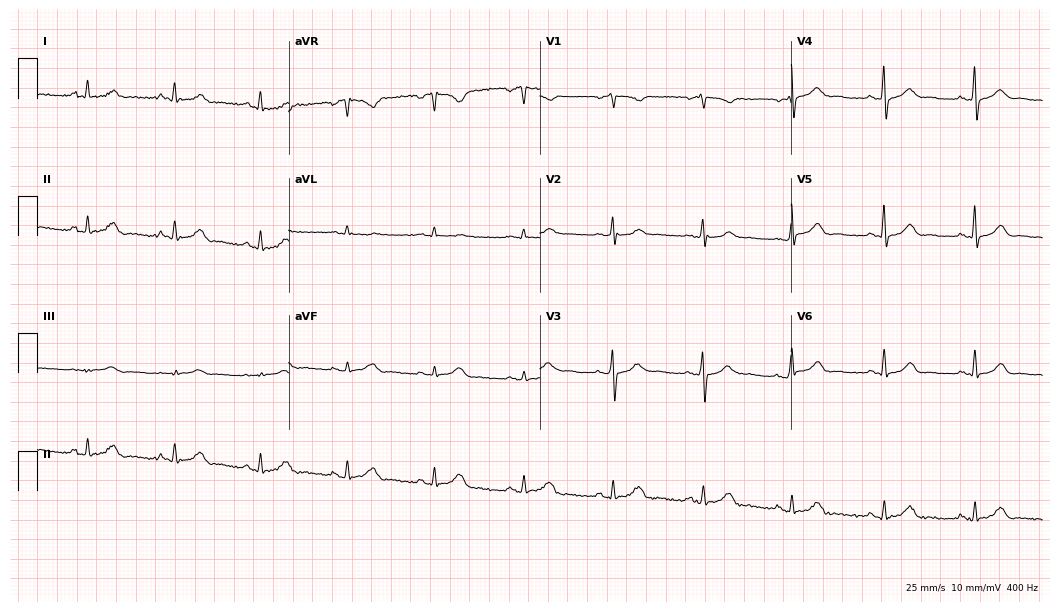
Electrocardiogram (10.2-second recording at 400 Hz), a 60-year-old female patient. Overall reading on record: normal ECG.